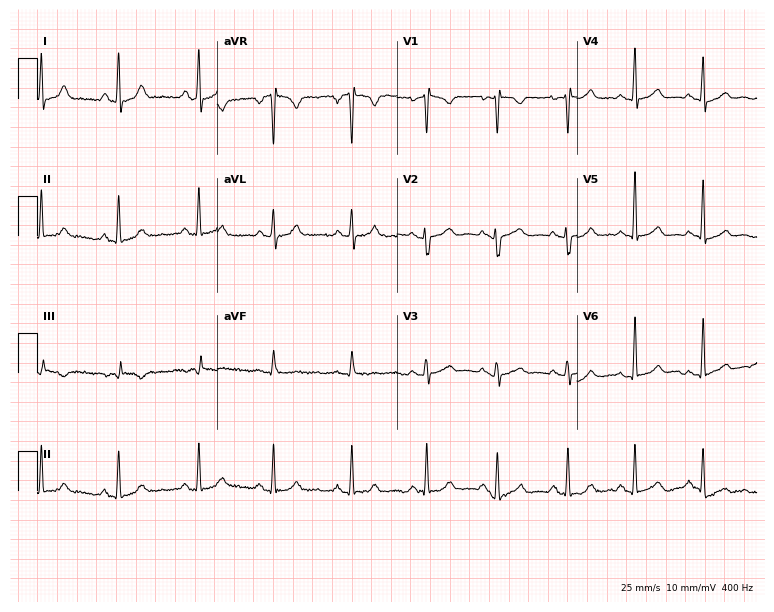
ECG (7.3-second recording at 400 Hz) — a female patient, 23 years old. Screened for six findings — first-degree AV block, right bundle branch block (RBBB), left bundle branch block (LBBB), sinus bradycardia, atrial fibrillation (AF), sinus tachycardia — none is recorded. Only these six findings were labelled.